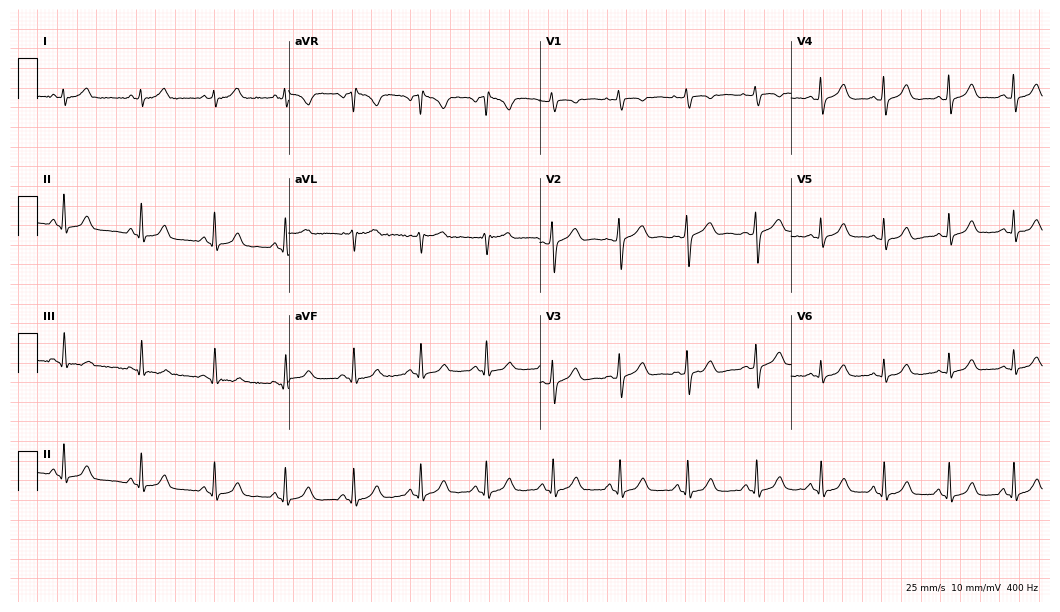
12-lead ECG from a 41-year-old female patient. No first-degree AV block, right bundle branch block (RBBB), left bundle branch block (LBBB), sinus bradycardia, atrial fibrillation (AF) or sinus tachycardia recorded for this tracing. Other findings, if any, are not listed.